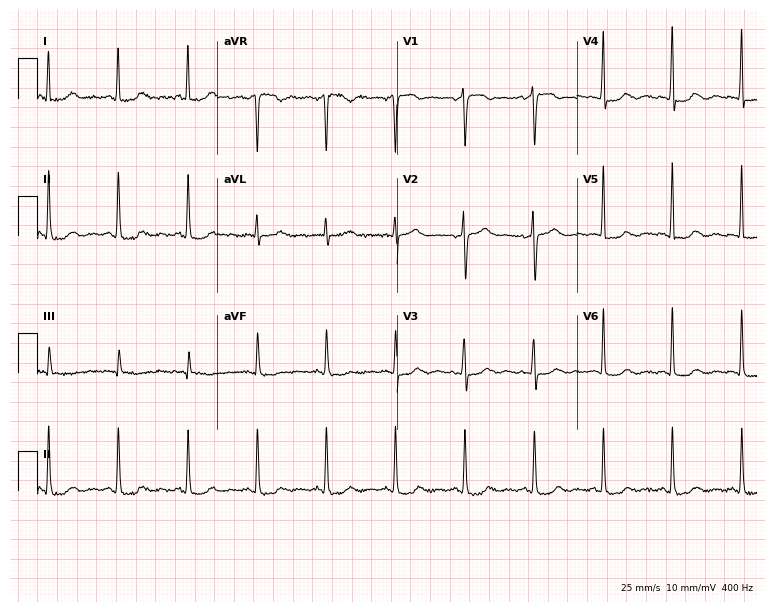
12-lead ECG from a woman, 53 years old (7.3-second recording at 400 Hz). Recorded interpretation: within normal limits.